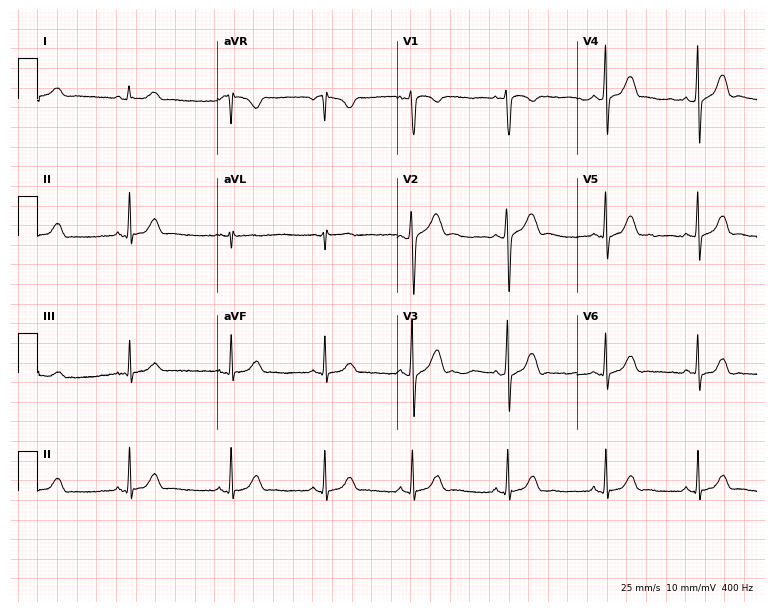
Resting 12-lead electrocardiogram. Patient: a female, 22 years old. None of these six findings is recorded: first-degree AV block, right bundle branch block, left bundle branch block, sinus bradycardia, atrial fibrillation, sinus tachycardia. Other findings, if any, are not listed.